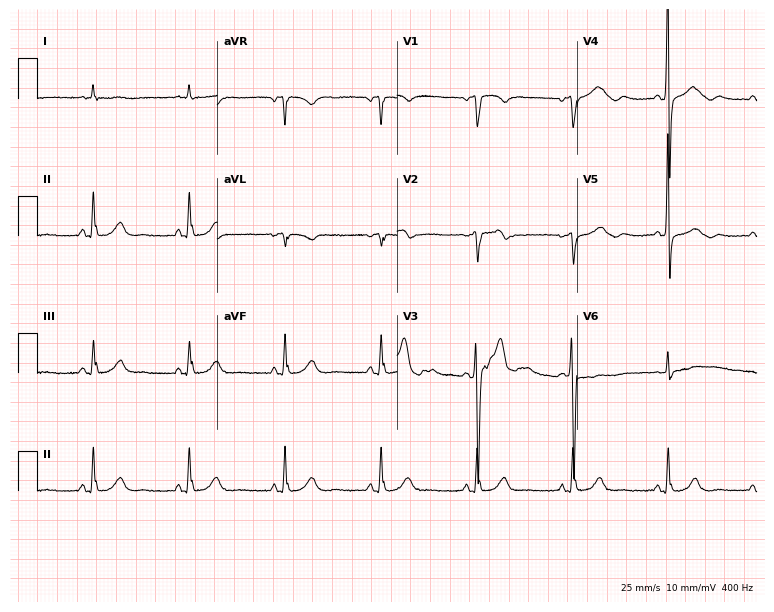
Standard 12-lead ECG recorded from a 43-year-old man. None of these six findings is recorded: first-degree AV block, right bundle branch block, left bundle branch block, sinus bradycardia, atrial fibrillation, sinus tachycardia.